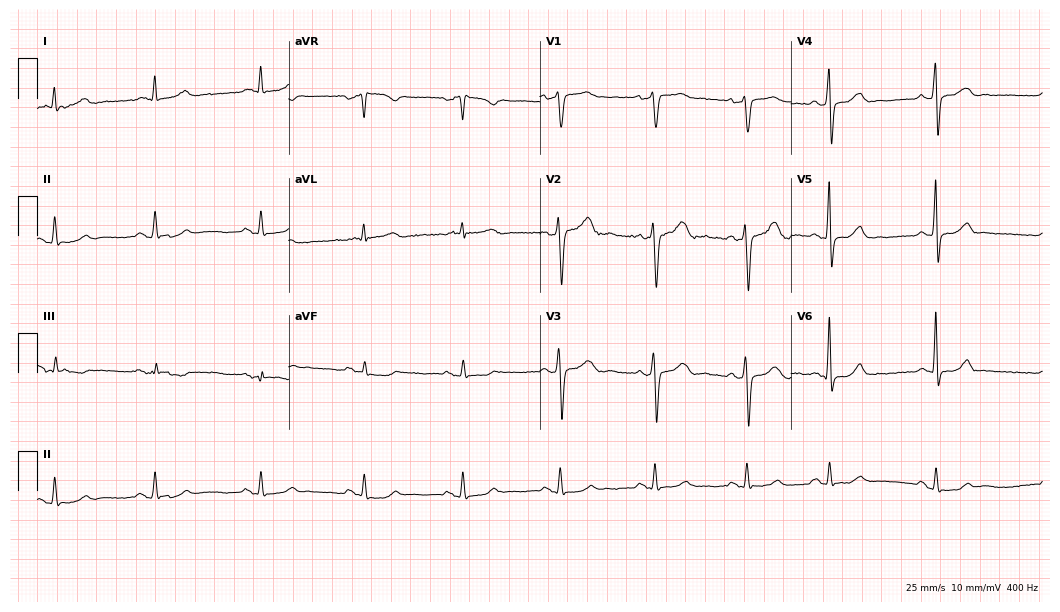
12-lead ECG from a 71-year-old male patient (10.2-second recording at 400 Hz). No first-degree AV block, right bundle branch block, left bundle branch block, sinus bradycardia, atrial fibrillation or sinus tachycardia recorded for this tracing.